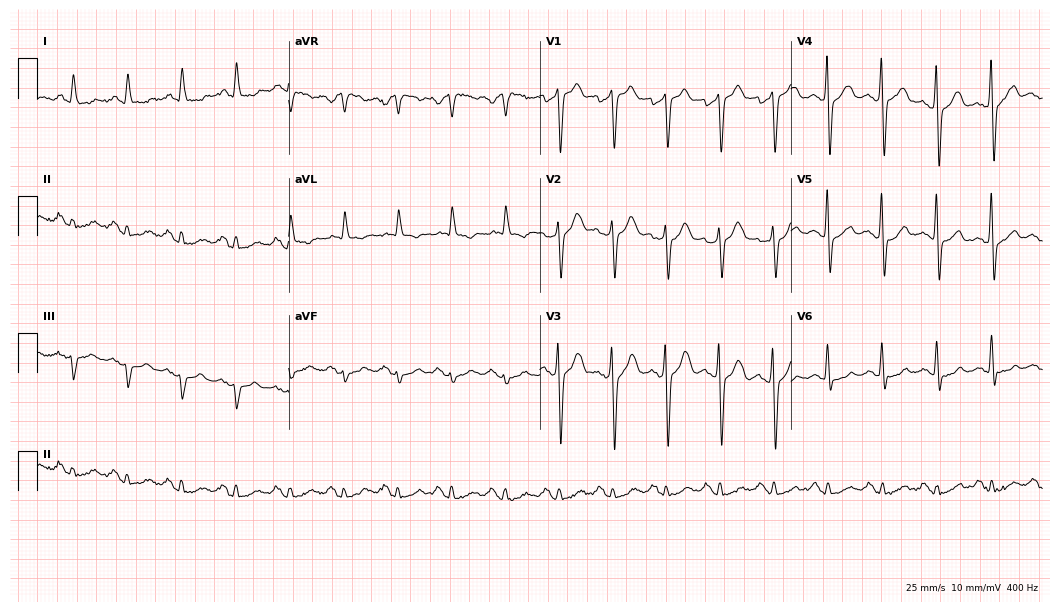
ECG (10.2-second recording at 400 Hz) — a 78-year-old male. Findings include sinus tachycardia (a sinus rate of 100 beats per minute or more).